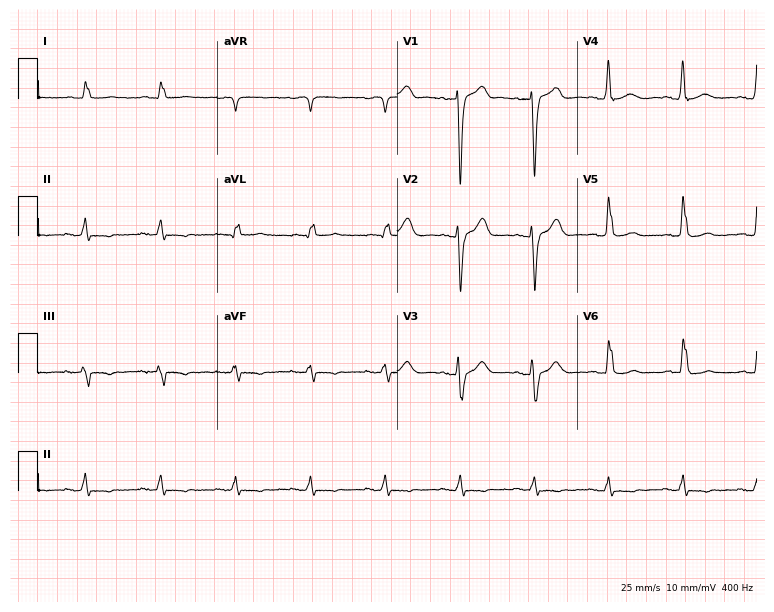
Standard 12-lead ECG recorded from a male, 84 years old. None of these six findings is recorded: first-degree AV block, right bundle branch block (RBBB), left bundle branch block (LBBB), sinus bradycardia, atrial fibrillation (AF), sinus tachycardia.